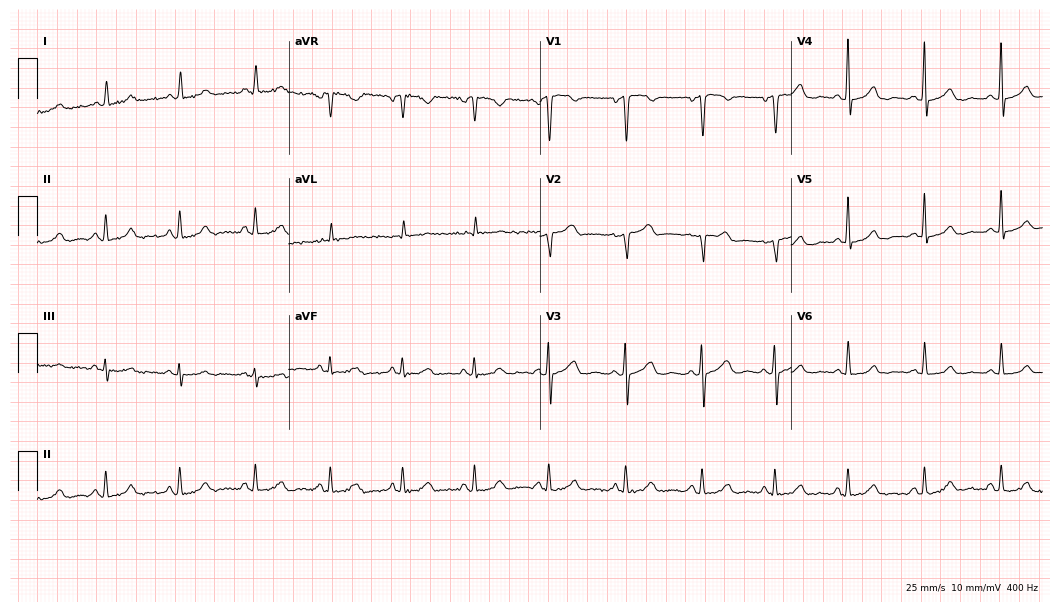
12-lead ECG (10.2-second recording at 400 Hz) from a female, 42 years old. Labelled as a normal ECG.